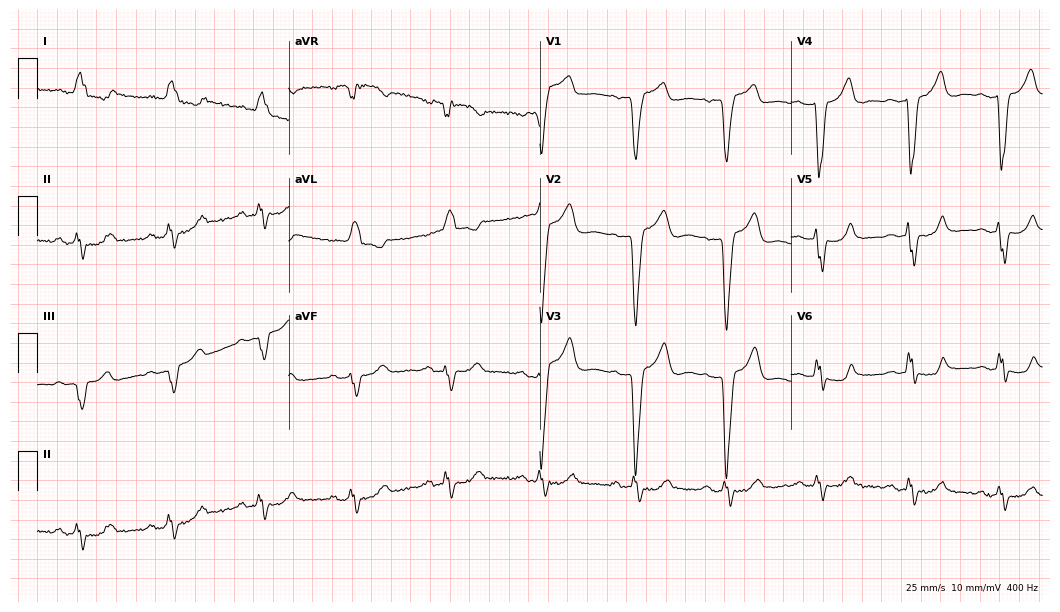
ECG — a 72-year-old female. Screened for six findings — first-degree AV block, right bundle branch block (RBBB), left bundle branch block (LBBB), sinus bradycardia, atrial fibrillation (AF), sinus tachycardia — none is recorded.